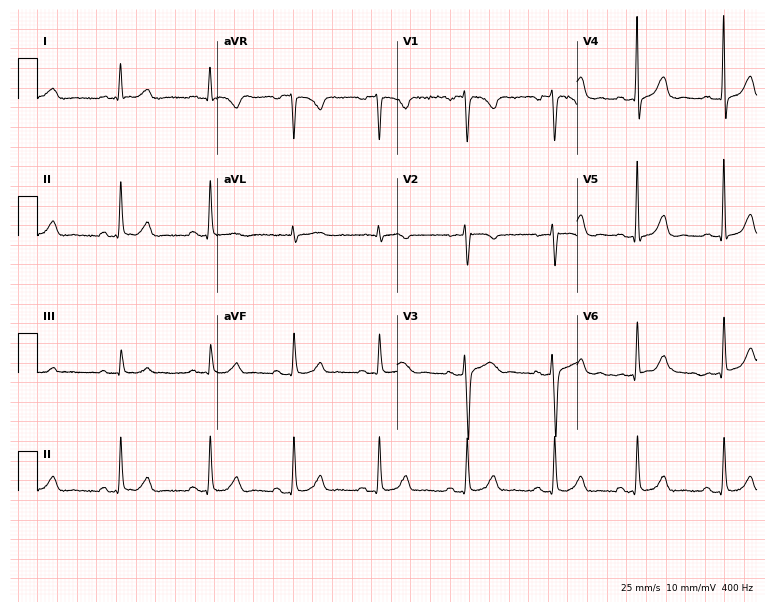
12-lead ECG from a female, 44 years old. No first-degree AV block, right bundle branch block, left bundle branch block, sinus bradycardia, atrial fibrillation or sinus tachycardia recorded for this tracing. Only these six findings were labelled.